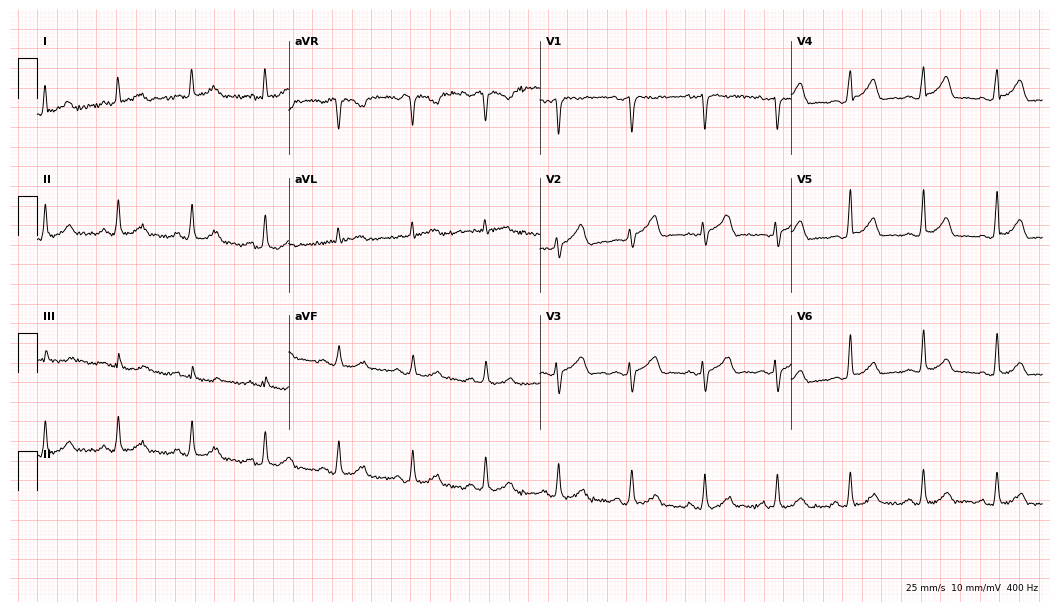
12-lead ECG (10.2-second recording at 400 Hz) from a 54-year-old woman. Screened for six findings — first-degree AV block, right bundle branch block, left bundle branch block, sinus bradycardia, atrial fibrillation, sinus tachycardia — none is recorded.